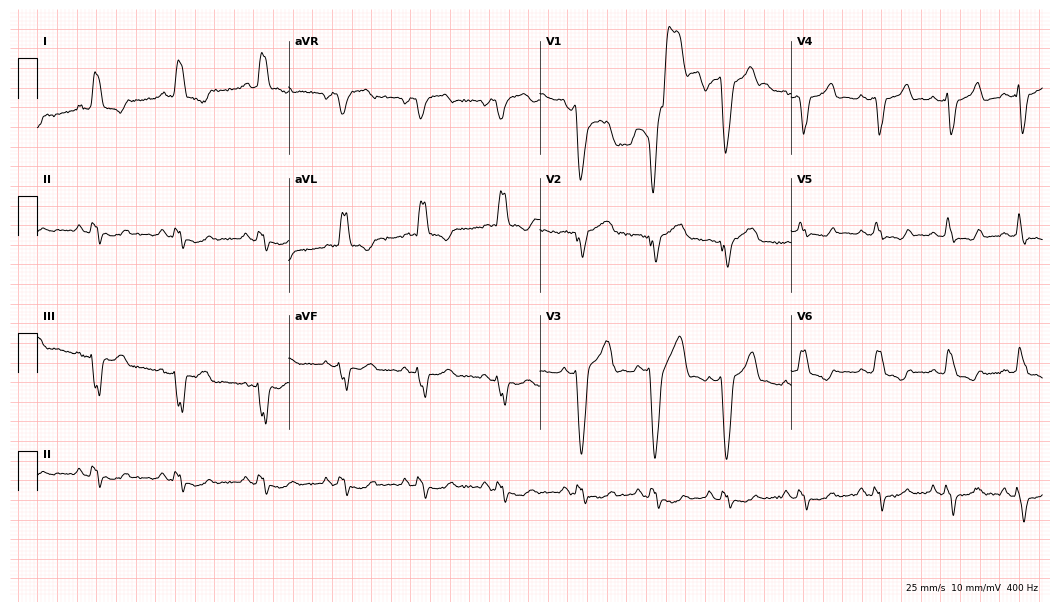
Standard 12-lead ECG recorded from a 40-year-old man. The tracing shows left bundle branch block (LBBB).